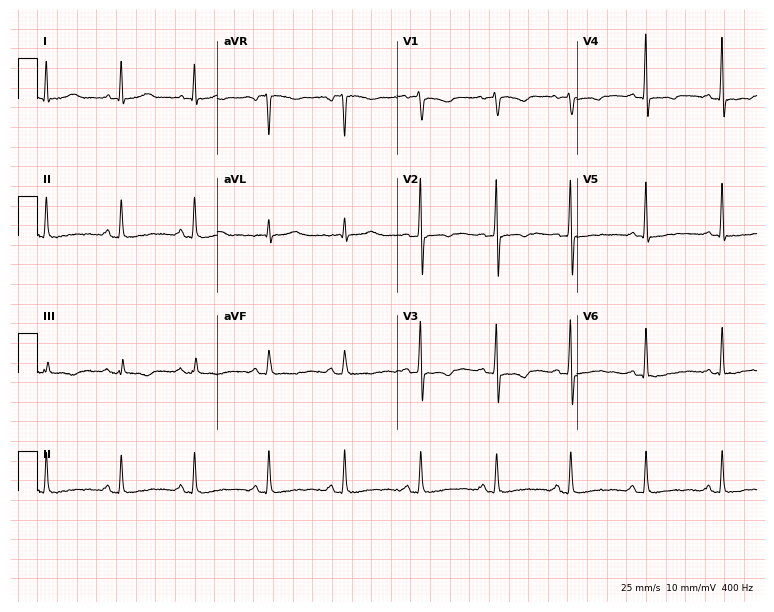
Standard 12-lead ECG recorded from a 64-year-old female (7.3-second recording at 400 Hz). None of these six findings is recorded: first-degree AV block, right bundle branch block, left bundle branch block, sinus bradycardia, atrial fibrillation, sinus tachycardia. Findings outside these six are not listed.